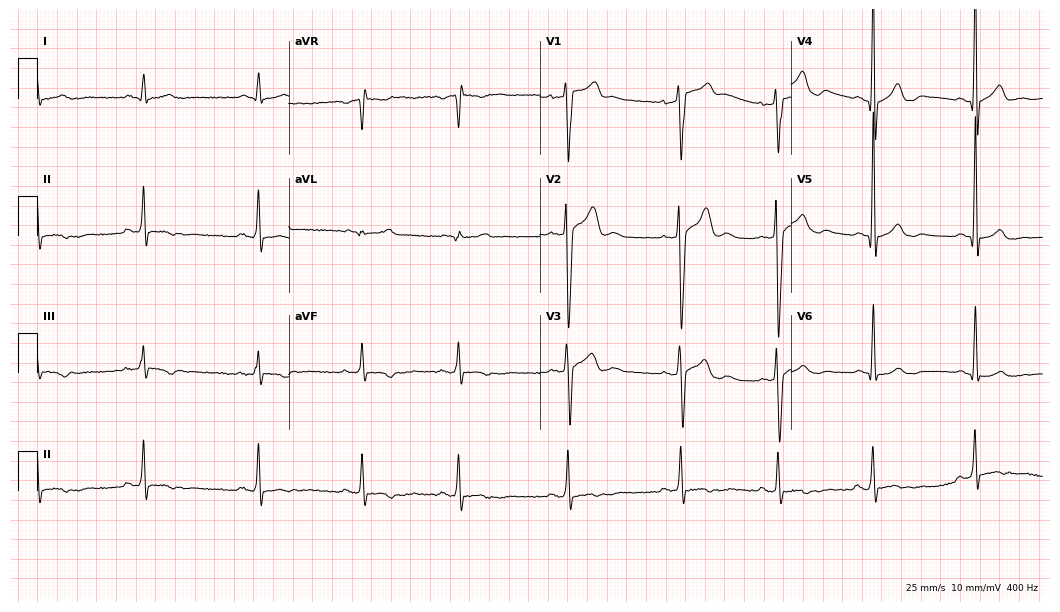
Electrocardiogram (10.2-second recording at 400 Hz), a man, 50 years old. Of the six screened findings (first-degree AV block, right bundle branch block, left bundle branch block, sinus bradycardia, atrial fibrillation, sinus tachycardia), none is recorded. Only these six findings were labelled.